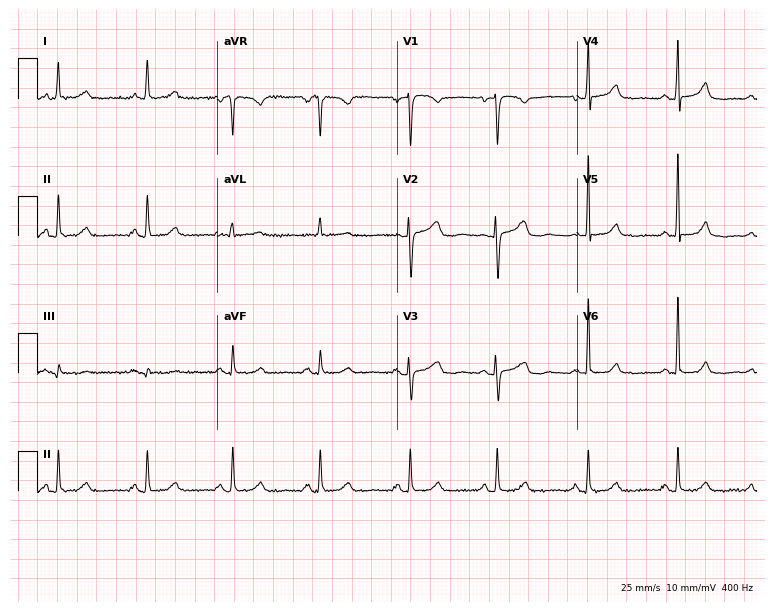
Electrocardiogram, a female, 61 years old. Of the six screened findings (first-degree AV block, right bundle branch block, left bundle branch block, sinus bradycardia, atrial fibrillation, sinus tachycardia), none is recorded. Other findings, if any, are not listed.